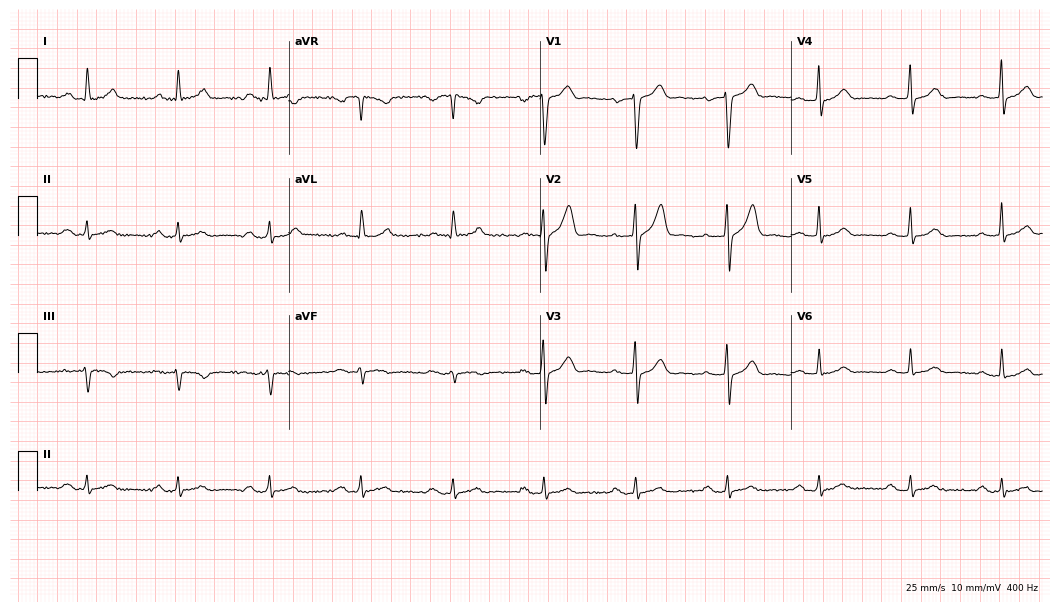
Resting 12-lead electrocardiogram. Patient: a male, 73 years old. Read as a normal ECG.